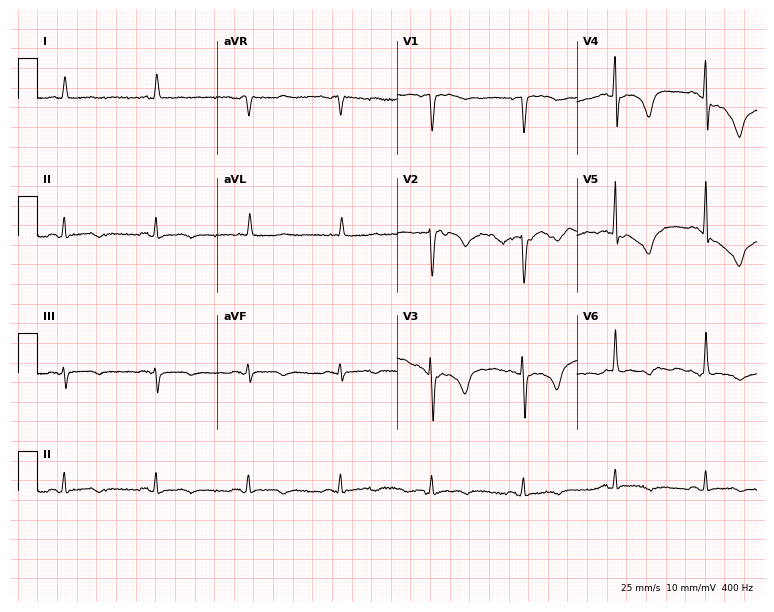
Electrocardiogram, a female, 76 years old. Of the six screened findings (first-degree AV block, right bundle branch block, left bundle branch block, sinus bradycardia, atrial fibrillation, sinus tachycardia), none is recorded. Findings outside these six are not listed.